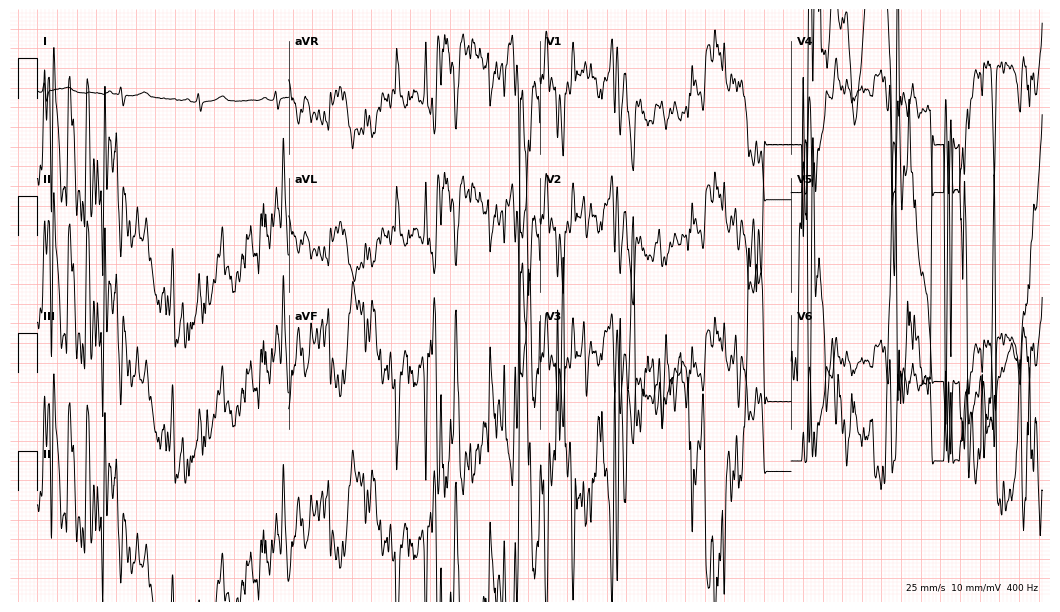
12-lead ECG from a 73-year-old male. No first-degree AV block, right bundle branch block (RBBB), left bundle branch block (LBBB), sinus bradycardia, atrial fibrillation (AF) or sinus tachycardia recorded for this tracing.